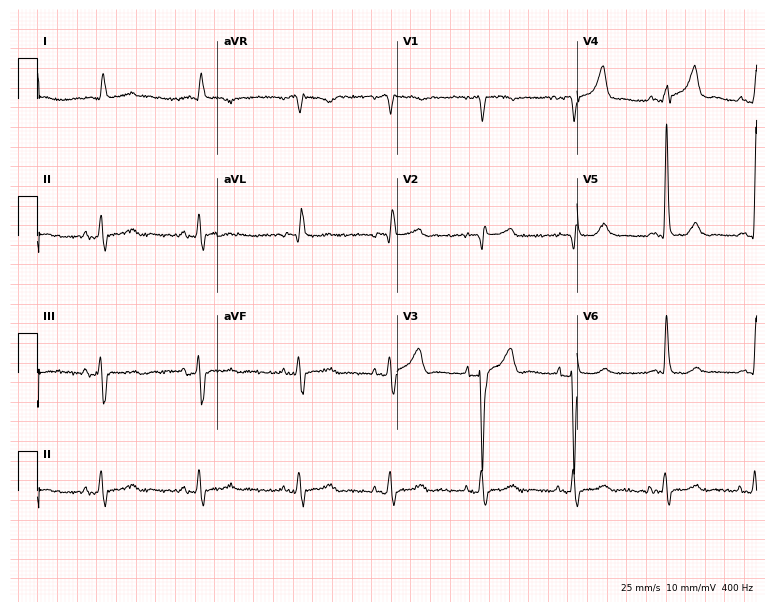
Resting 12-lead electrocardiogram (7.3-second recording at 400 Hz). Patient: a 63-year-old man. None of these six findings is recorded: first-degree AV block, right bundle branch block, left bundle branch block, sinus bradycardia, atrial fibrillation, sinus tachycardia. Only these six findings were labelled.